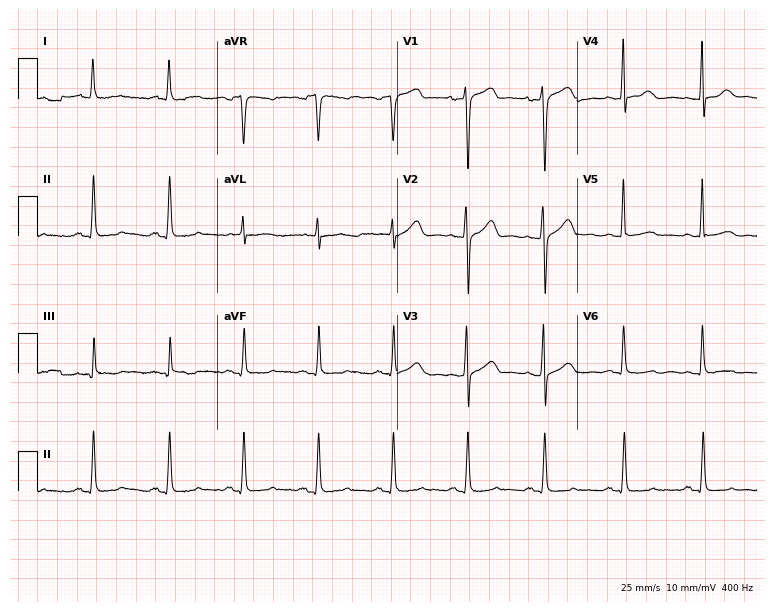
12-lead ECG from a woman, 50 years old. No first-degree AV block, right bundle branch block (RBBB), left bundle branch block (LBBB), sinus bradycardia, atrial fibrillation (AF) or sinus tachycardia recorded for this tracing.